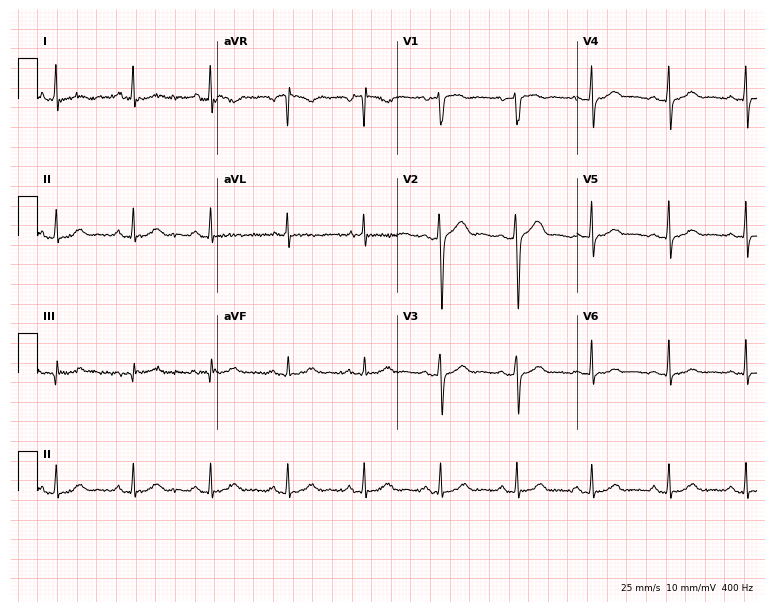
ECG — a 69-year-old female patient. Labelled as a normal ECG.